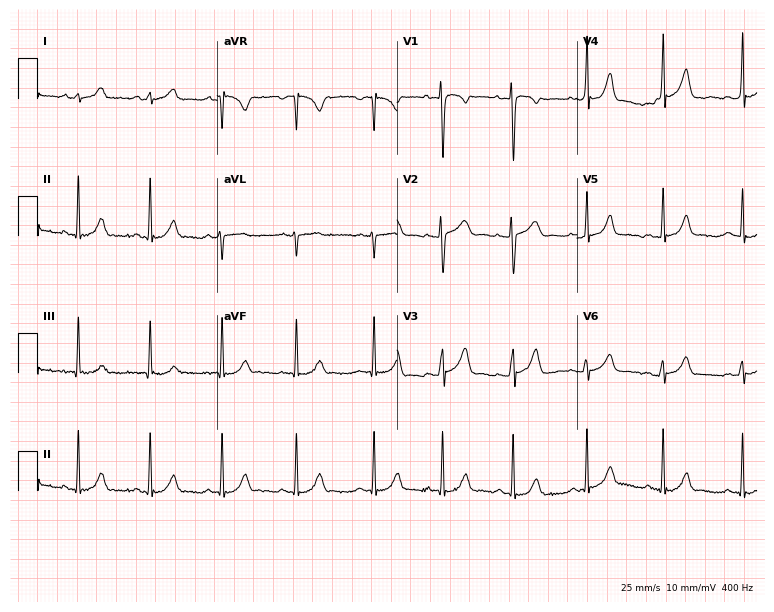
12-lead ECG (7.3-second recording at 400 Hz) from a woman, 17 years old. Screened for six findings — first-degree AV block, right bundle branch block, left bundle branch block, sinus bradycardia, atrial fibrillation, sinus tachycardia — none is recorded. Only these six findings were labelled.